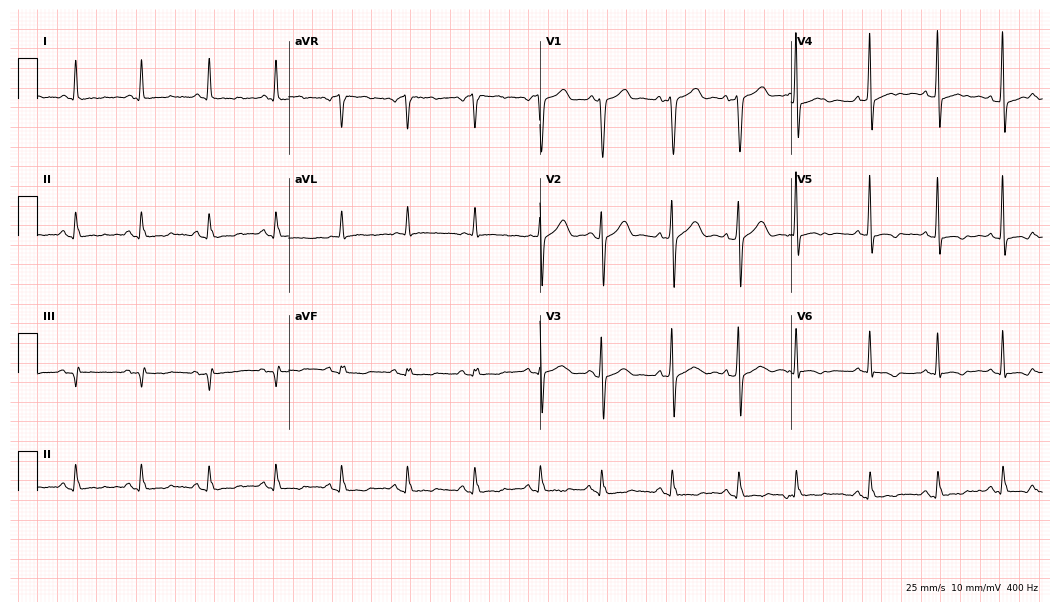
12-lead ECG from a male, 75 years old. Screened for six findings — first-degree AV block, right bundle branch block, left bundle branch block, sinus bradycardia, atrial fibrillation, sinus tachycardia — none is recorded. Findings outside these six are not listed.